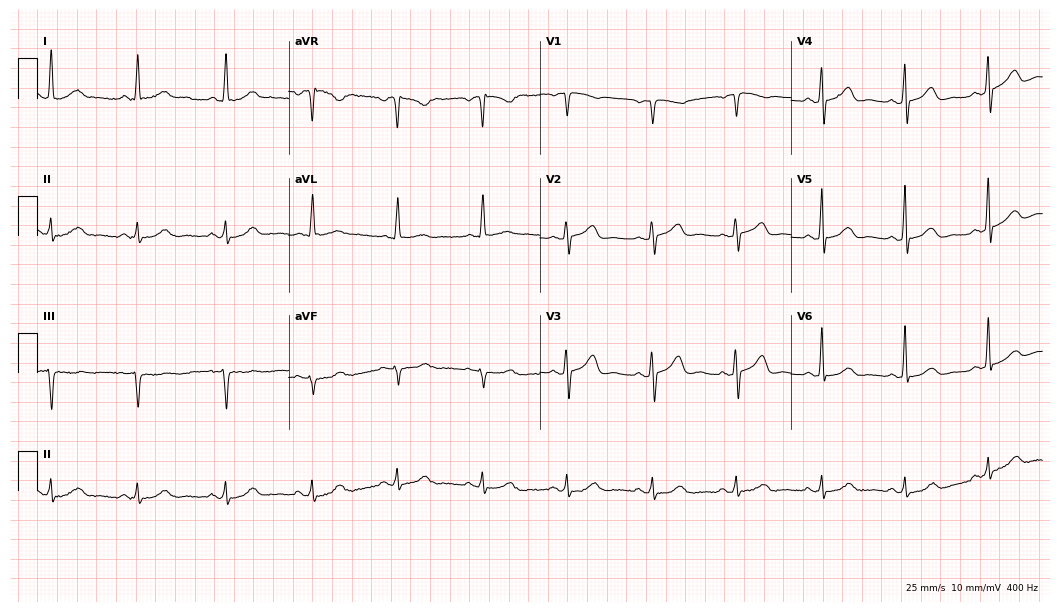
Resting 12-lead electrocardiogram (10.2-second recording at 400 Hz). Patient: a female, 65 years old. Read as a normal ECG.